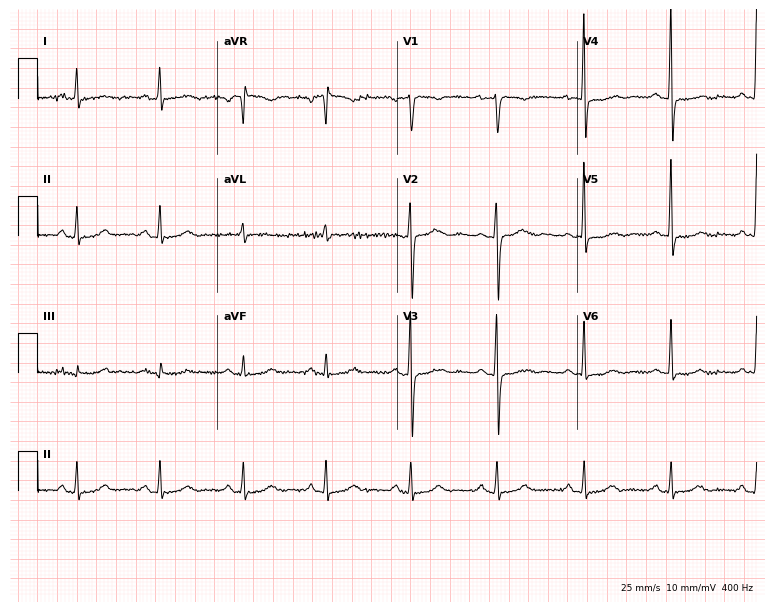
Standard 12-lead ECG recorded from a female patient, 65 years old (7.3-second recording at 400 Hz). Read as a normal ECG.